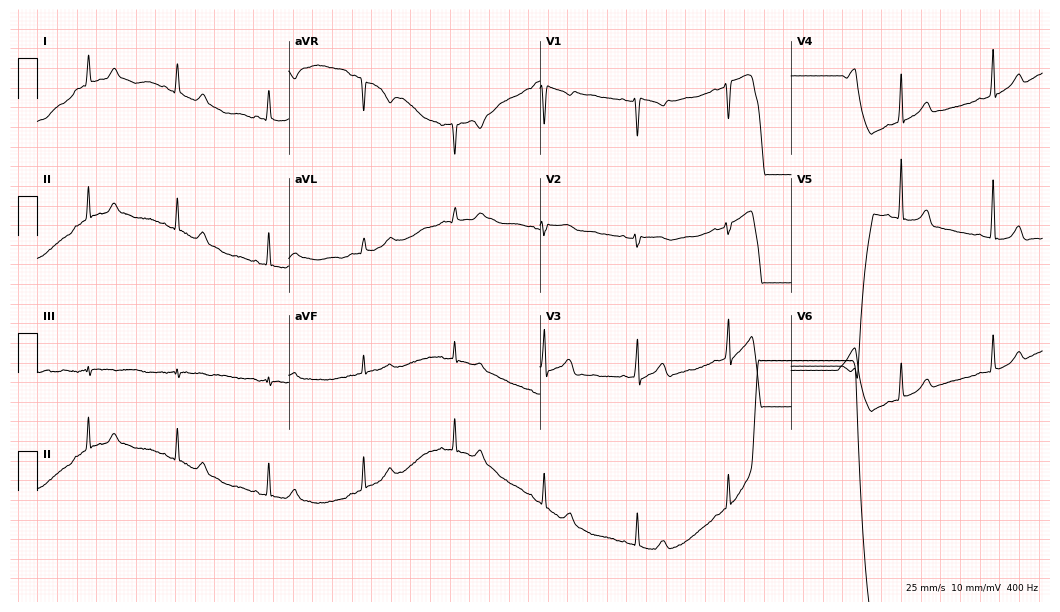
Resting 12-lead electrocardiogram (10.2-second recording at 400 Hz). Patient: a 40-year-old woman. None of these six findings is recorded: first-degree AV block, right bundle branch block (RBBB), left bundle branch block (LBBB), sinus bradycardia, atrial fibrillation (AF), sinus tachycardia. Other findings, if any, are not listed.